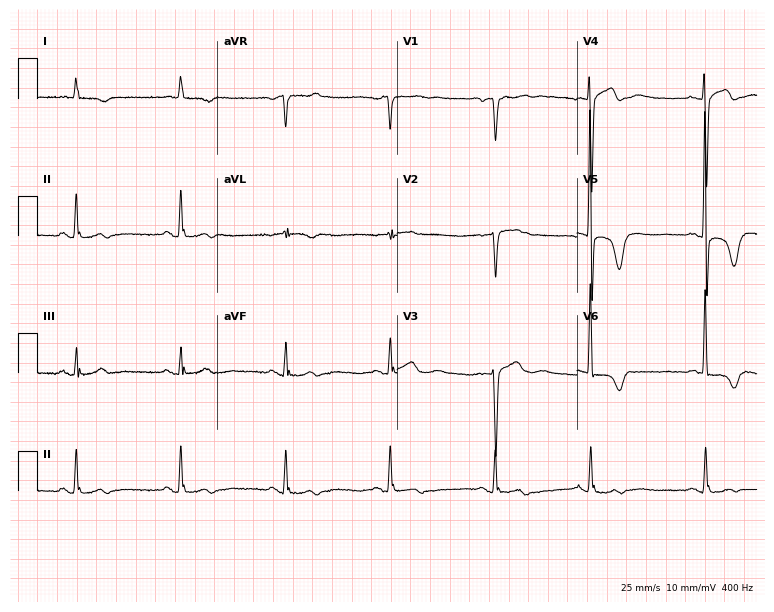
12-lead ECG from an 84-year-old female. Screened for six findings — first-degree AV block, right bundle branch block, left bundle branch block, sinus bradycardia, atrial fibrillation, sinus tachycardia — none is recorded.